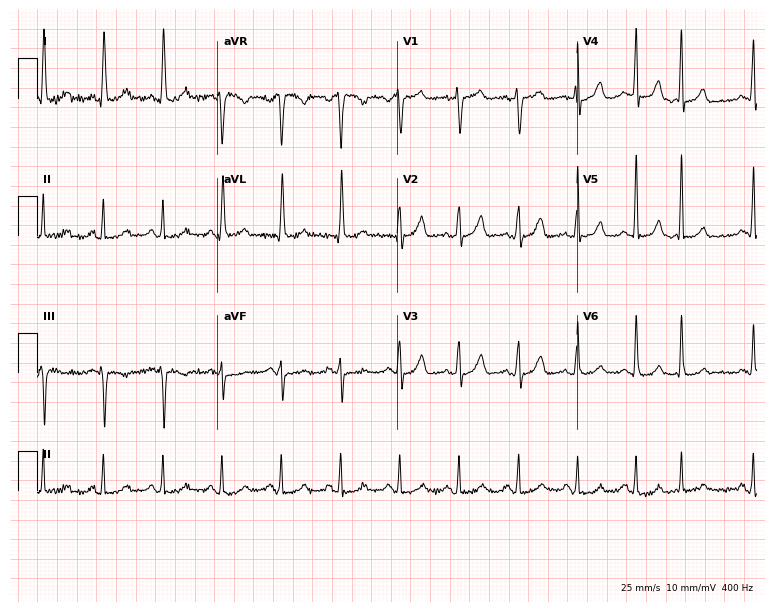
ECG — a 69-year-old female patient. Screened for six findings — first-degree AV block, right bundle branch block, left bundle branch block, sinus bradycardia, atrial fibrillation, sinus tachycardia — none is recorded. Other findings, if any, are not listed.